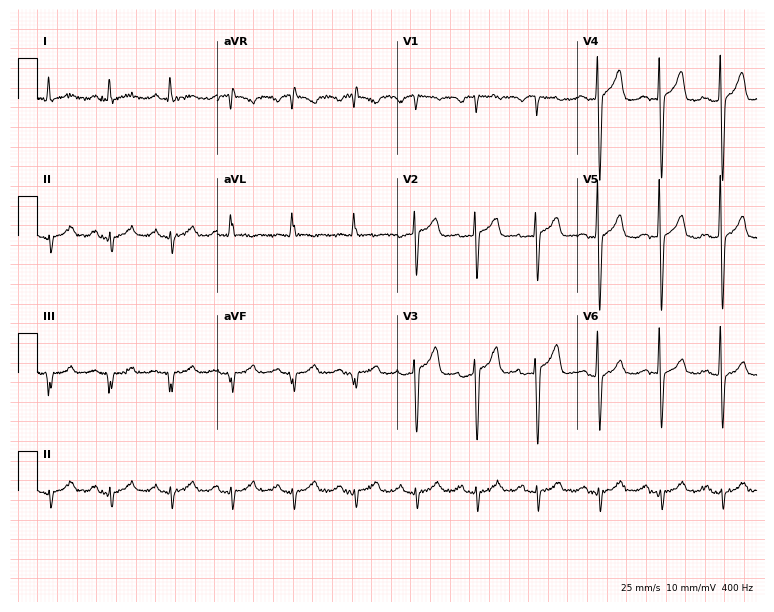
Standard 12-lead ECG recorded from a male, 62 years old. None of these six findings is recorded: first-degree AV block, right bundle branch block (RBBB), left bundle branch block (LBBB), sinus bradycardia, atrial fibrillation (AF), sinus tachycardia.